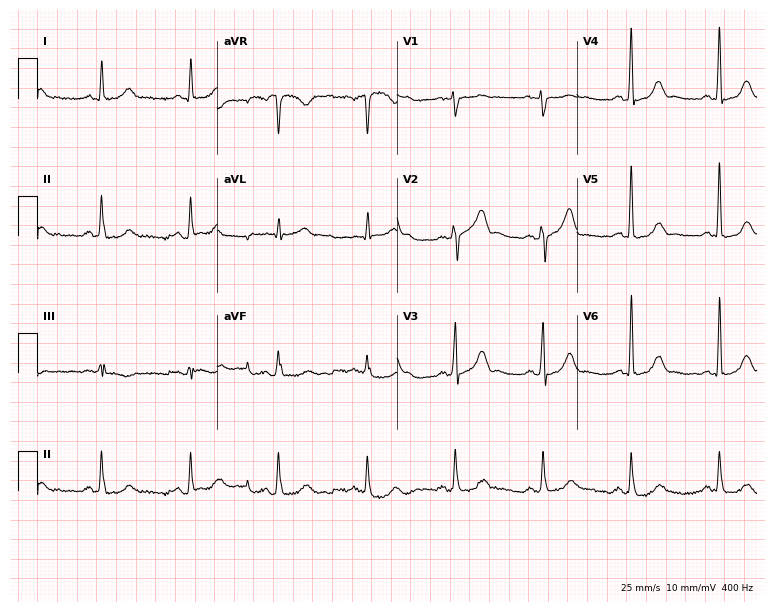
Resting 12-lead electrocardiogram (7.3-second recording at 400 Hz). Patient: a man, 59 years old. Read as a normal ECG.